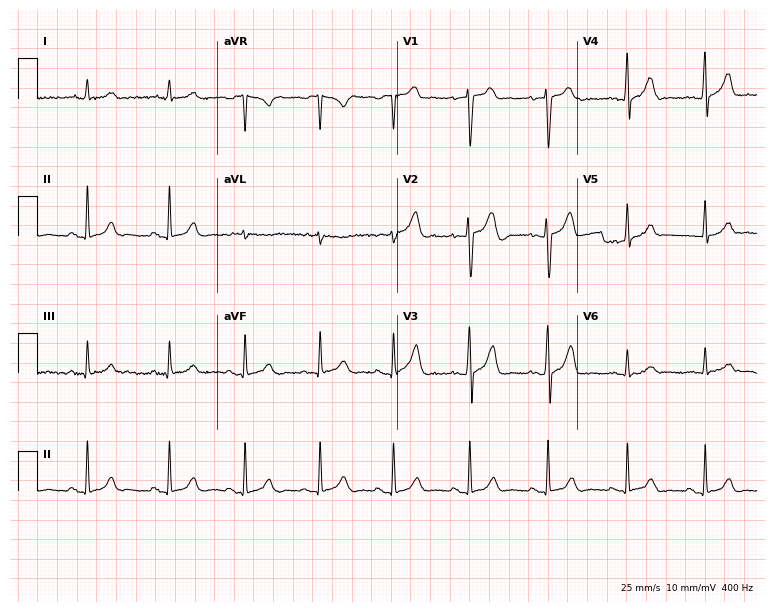
Resting 12-lead electrocardiogram (7.3-second recording at 400 Hz). Patient: a male, 37 years old. Read as a normal ECG.